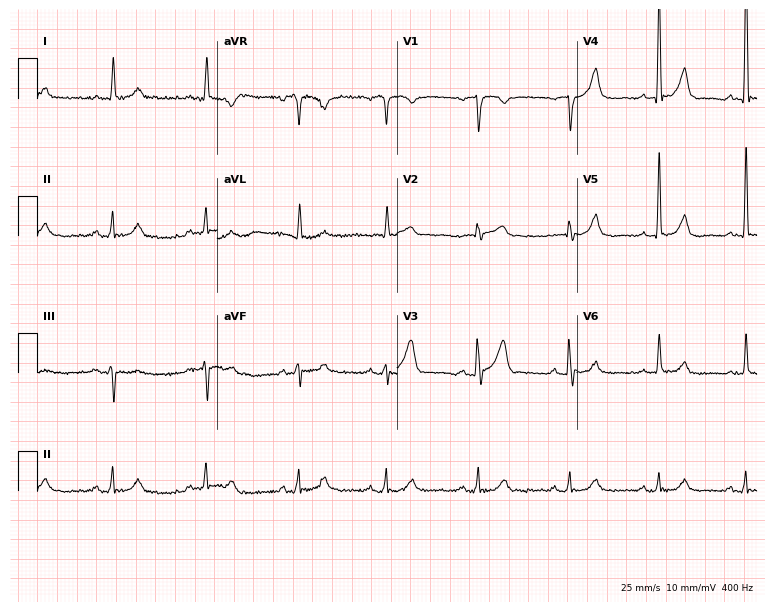
Resting 12-lead electrocardiogram (7.3-second recording at 400 Hz). Patient: a man, 76 years old. Read as a normal ECG.